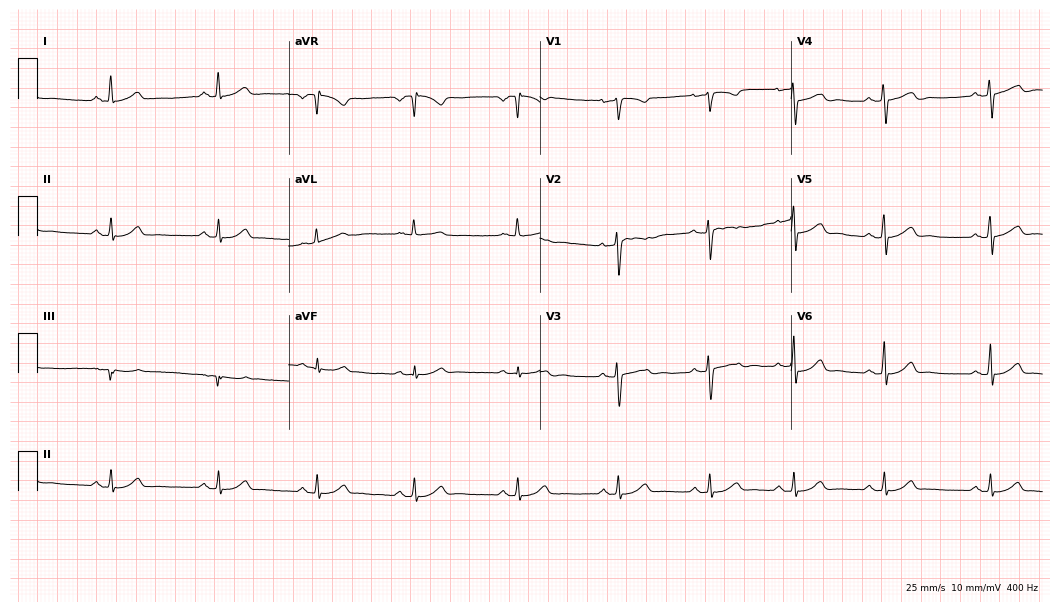
Electrocardiogram (10.2-second recording at 400 Hz), a female patient, 26 years old. Of the six screened findings (first-degree AV block, right bundle branch block, left bundle branch block, sinus bradycardia, atrial fibrillation, sinus tachycardia), none is recorded.